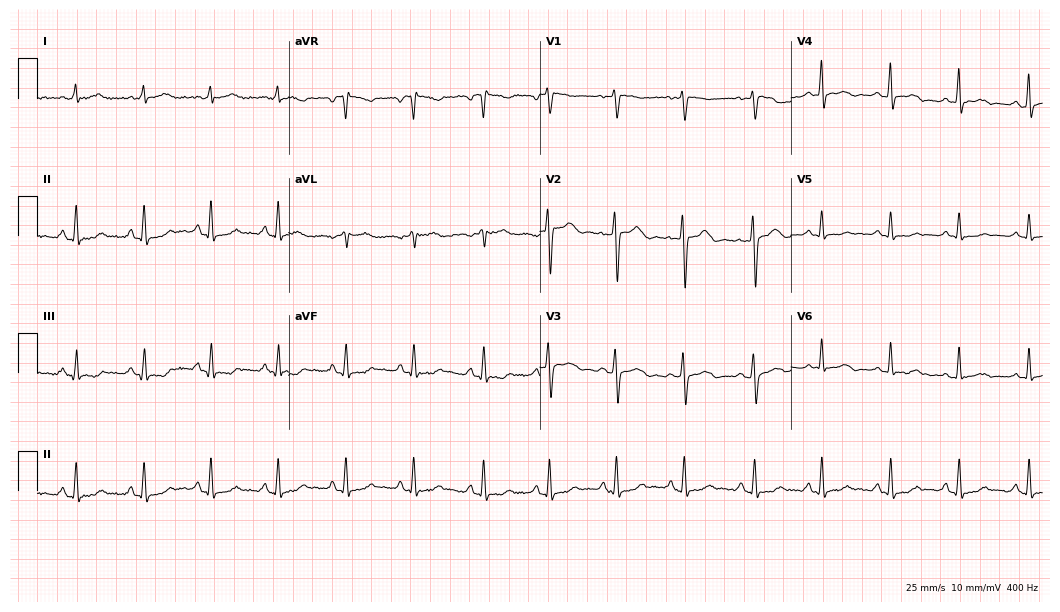
12-lead ECG from a female, 51 years old. Screened for six findings — first-degree AV block, right bundle branch block, left bundle branch block, sinus bradycardia, atrial fibrillation, sinus tachycardia — none is recorded. Only these six findings were labelled.